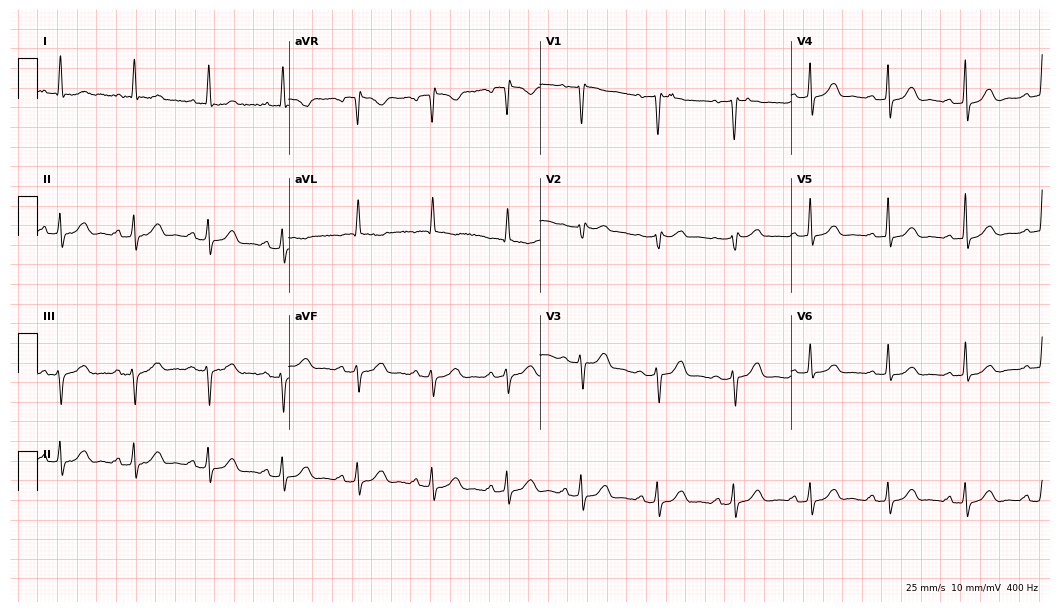
12-lead ECG from a 74-year-old female patient. Labelled as a normal ECG.